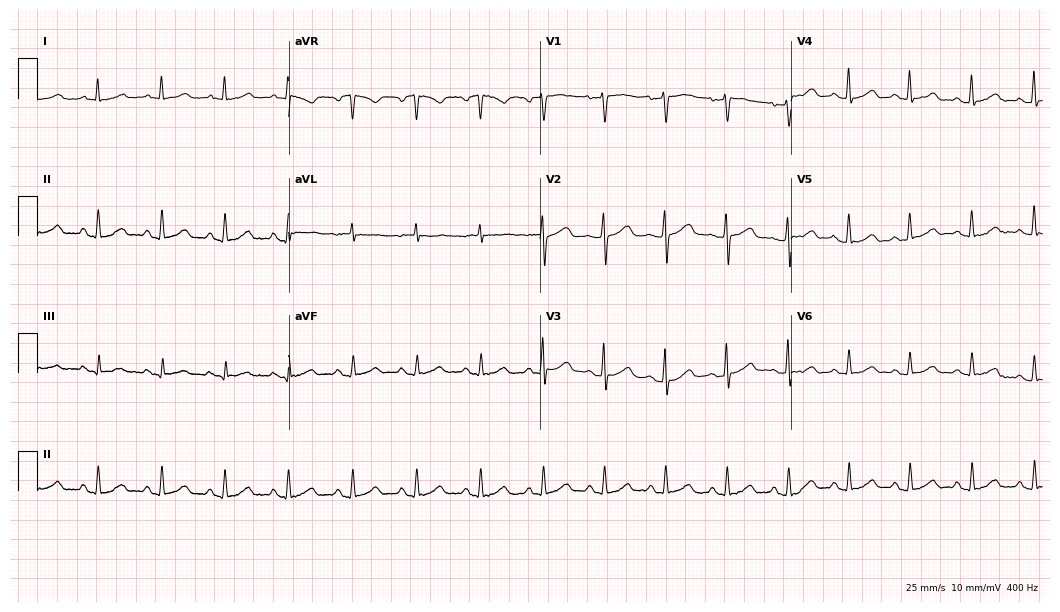
Standard 12-lead ECG recorded from a 52-year-old female. Read as a normal ECG.